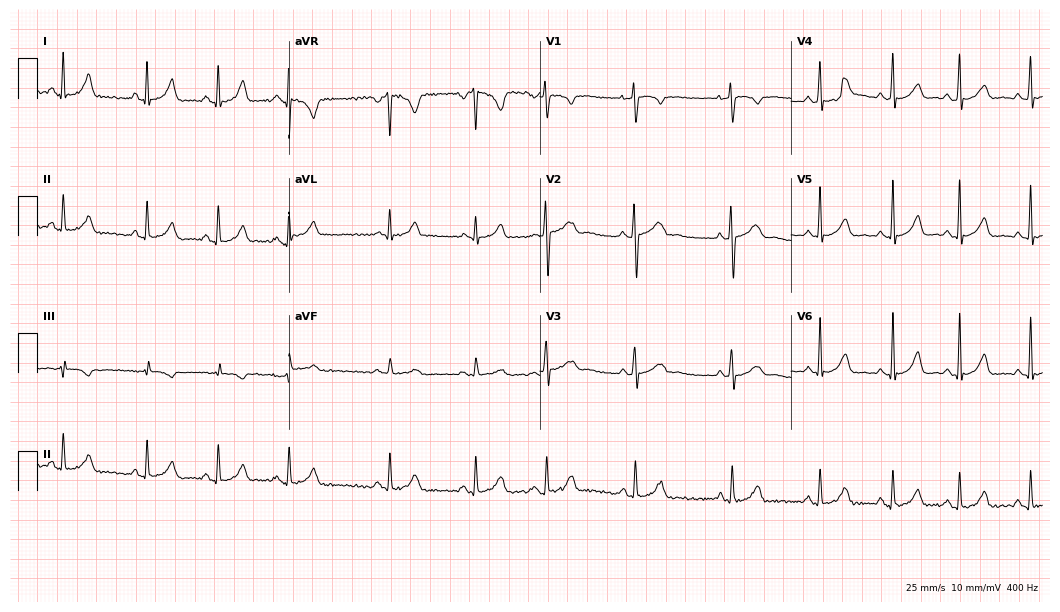
Resting 12-lead electrocardiogram. Patient: a 22-year-old female. Read as a normal ECG.